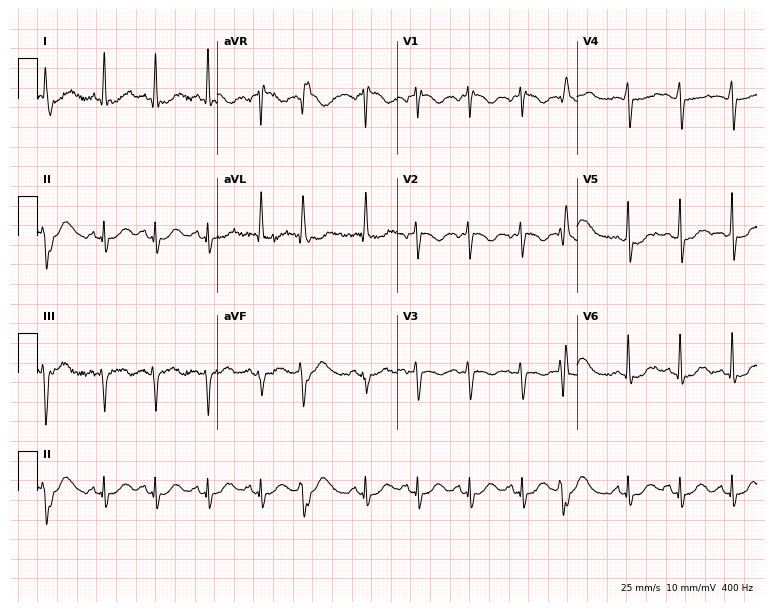
Resting 12-lead electrocardiogram (7.3-second recording at 400 Hz). Patient: a 40-year-old female. The tracing shows sinus tachycardia (a sinus rate of 100 beats per minute or more).